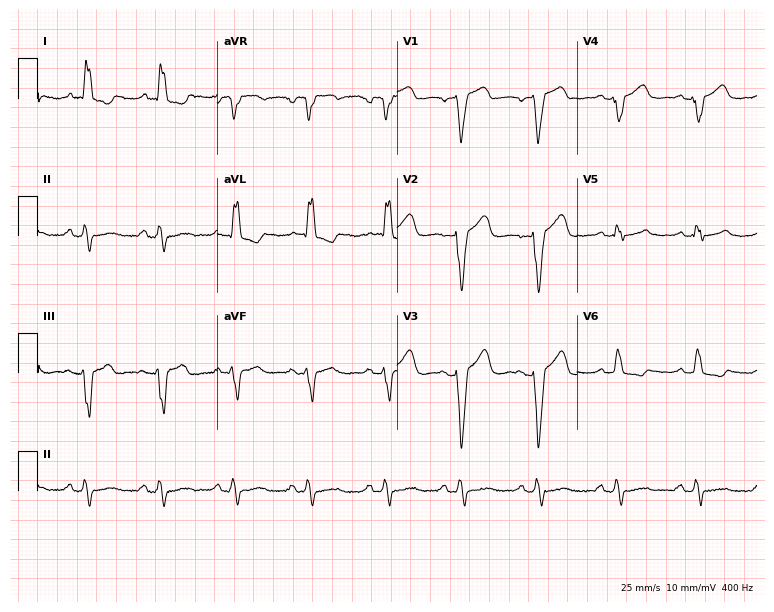
12-lead ECG from a female patient, 85 years old. Shows left bundle branch block (LBBB).